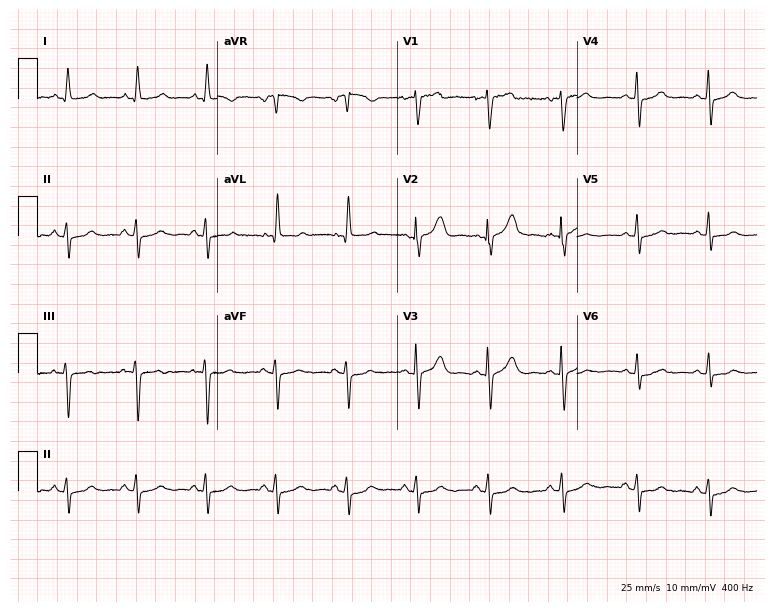
Electrocardiogram, a 59-year-old female patient. Of the six screened findings (first-degree AV block, right bundle branch block, left bundle branch block, sinus bradycardia, atrial fibrillation, sinus tachycardia), none is recorded.